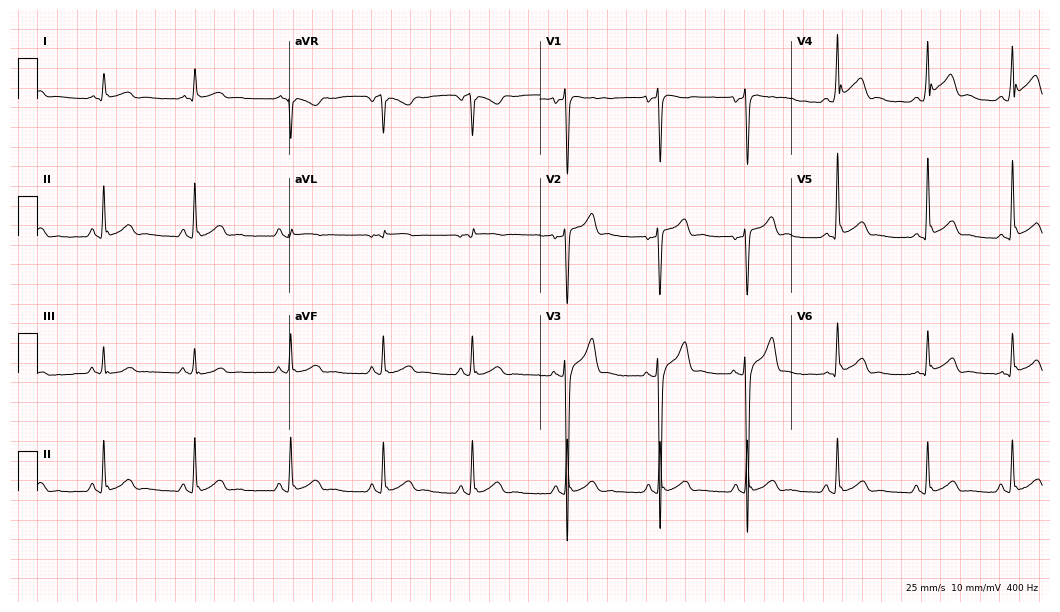
ECG — a 17-year-old male patient. Screened for six findings — first-degree AV block, right bundle branch block (RBBB), left bundle branch block (LBBB), sinus bradycardia, atrial fibrillation (AF), sinus tachycardia — none is recorded. Findings outside these six are not listed.